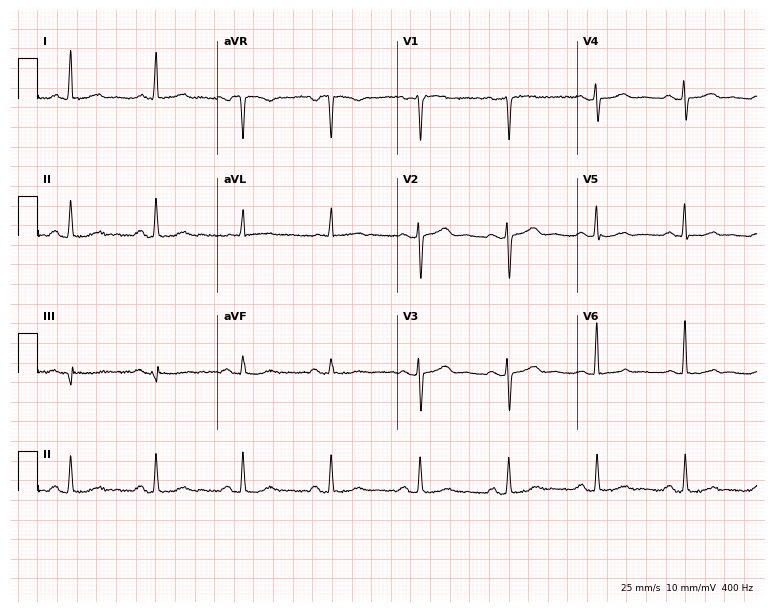
Standard 12-lead ECG recorded from a 59-year-old woman (7.3-second recording at 400 Hz). Read as a normal ECG.